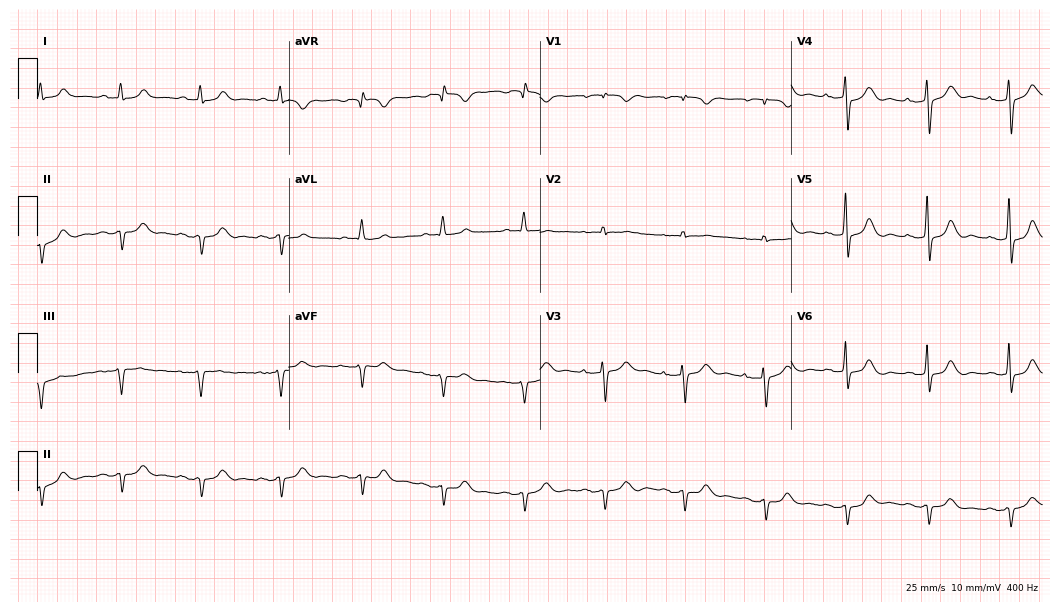
12-lead ECG (10.2-second recording at 400 Hz) from an 82-year-old woman. Screened for six findings — first-degree AV block, right bundle branch block, left bundle branch block, sinus bradycardia, atrial fibrillation, sinus tachycardia — none is recorded.